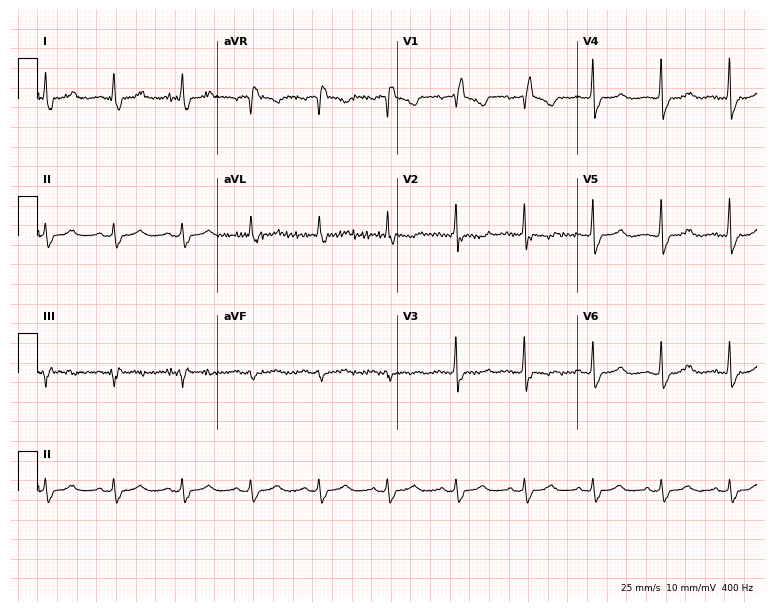
12-lead ECG from a female, 47 years old. Findings include right bundle branch block.